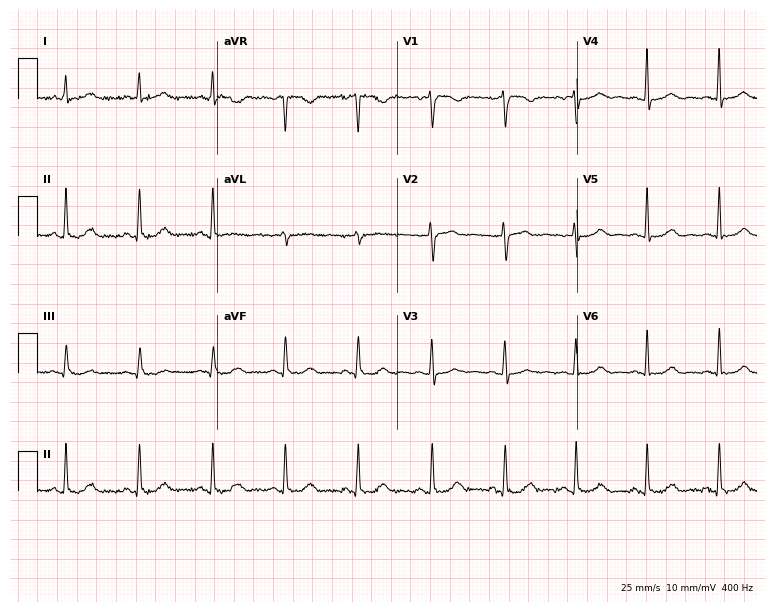
12-lead ECG from a 53-year-old female (7.3-second recording at 400 Hz). Recorded interpretation: within normal limits.